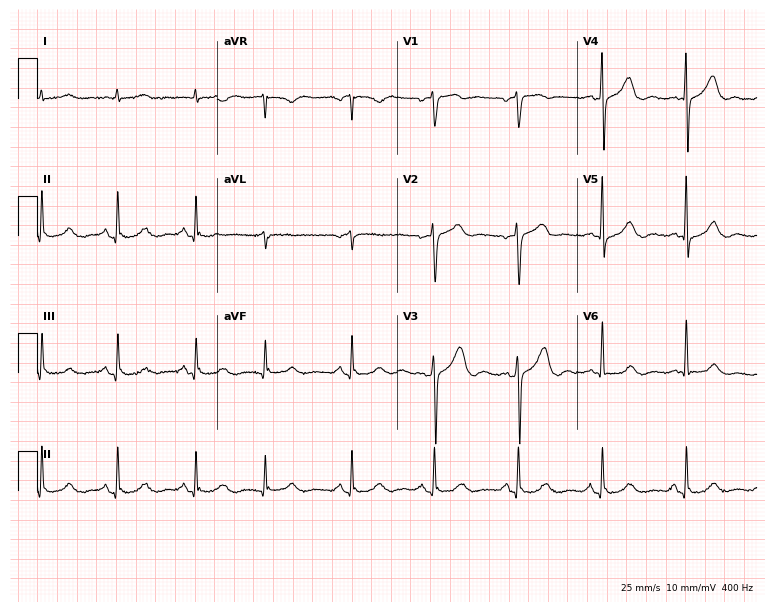
ECG (7.3-second recording at 400 Hz) — an 80-year-old male. Screened for six findings — first-degree AV block, right bundle branch block (RBBB), left bundle branch block (LBBB), sinus bradycardia, atrial fibrillation (AF), sinus tachycardia — none is recorded.